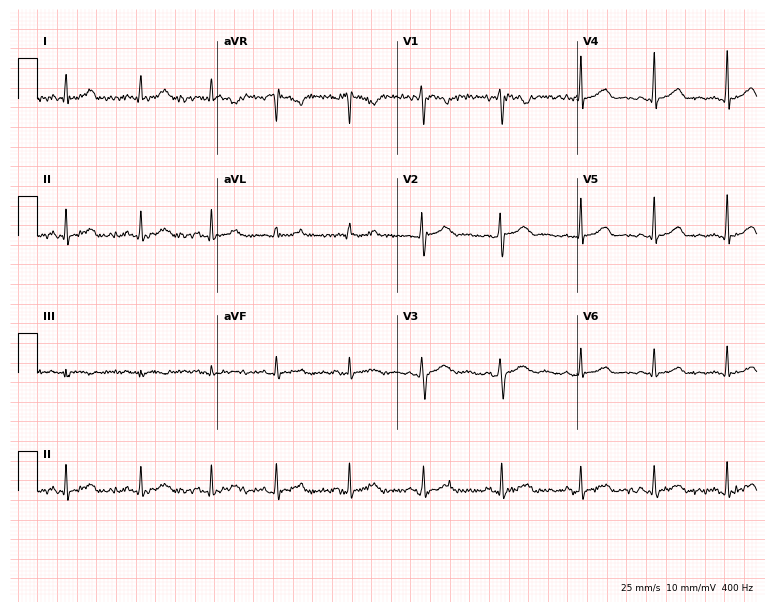
12-lead ECG from a female patient, 34 years old (7.3-second recording at 400 Hz). Recorded interpretation: within normal limits.